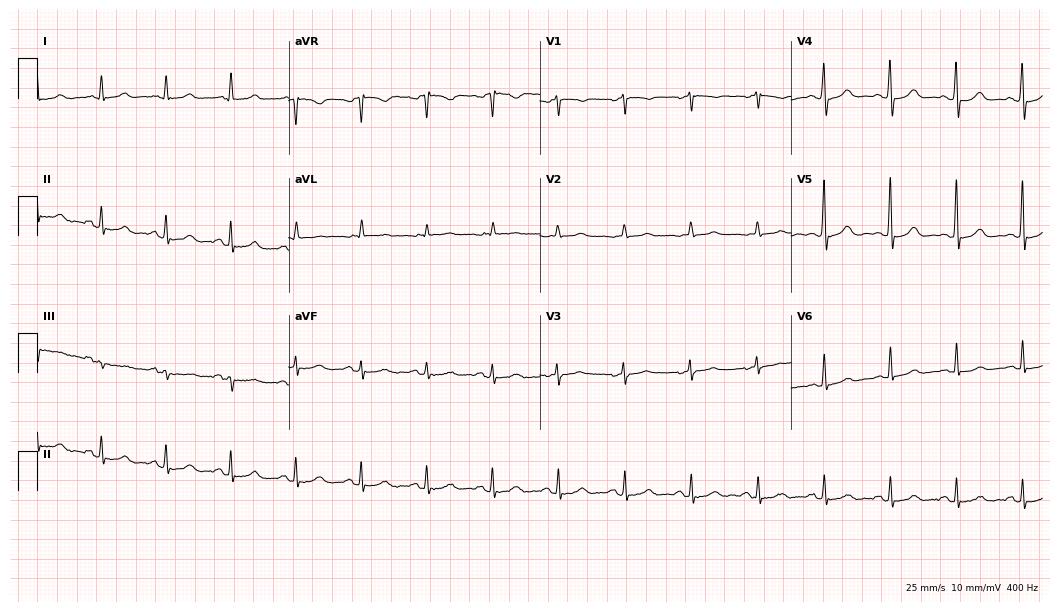
Standard 12-lead ECG recorded from a woman, 70 years old. Read as a normal ECG.